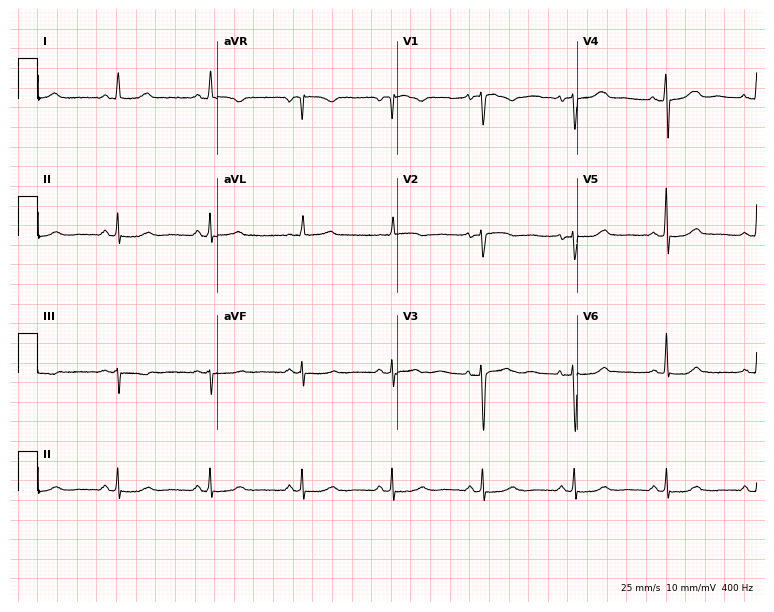
Standard 12-lead ECG recorded from a female patient, 45 years old. None of these six findings is recorded: first-degree AV block, right bundle branch block, left bundle branch block, sinus bradycardia, atrial fibrillation, sinus tachycardia. Findings outside these six are not listed.